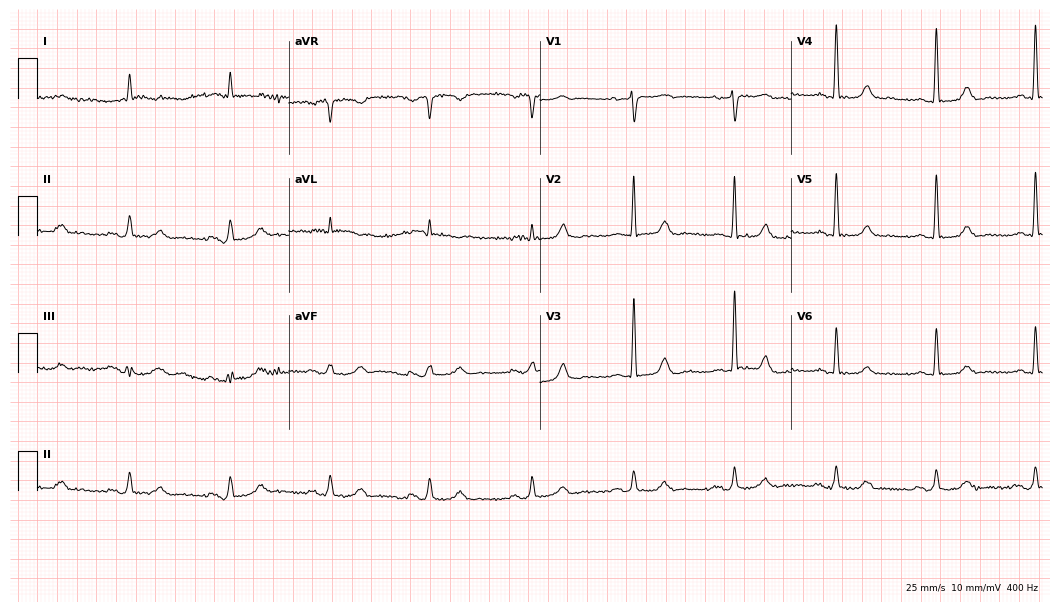
Electrocardiogram, a male patient, 78 years old. Interpretation includes first-degree AV block.